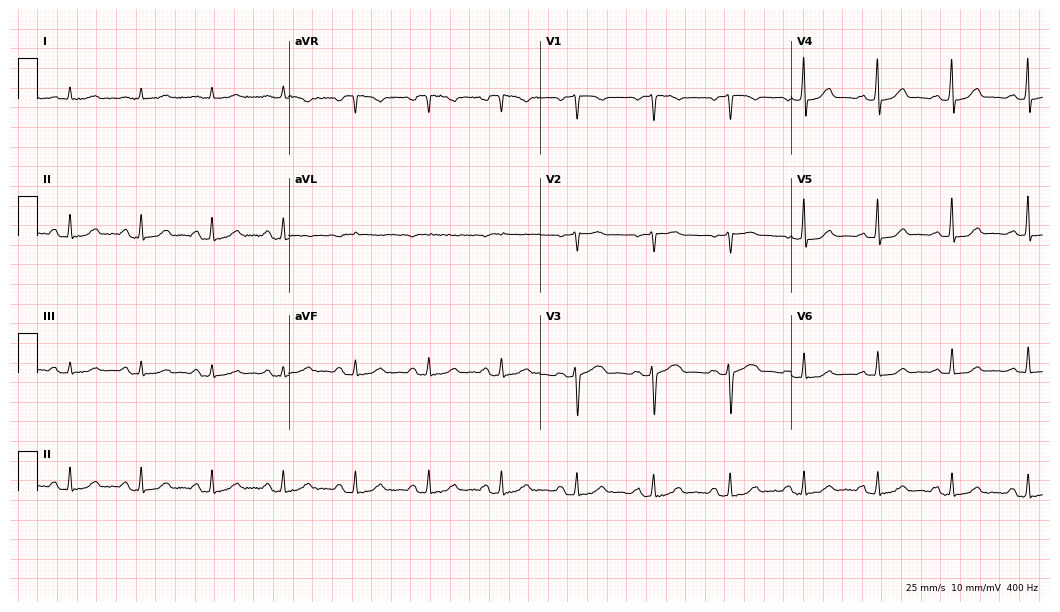
ECG — a 53-year-old female patient. Labelled as a normal ECG.